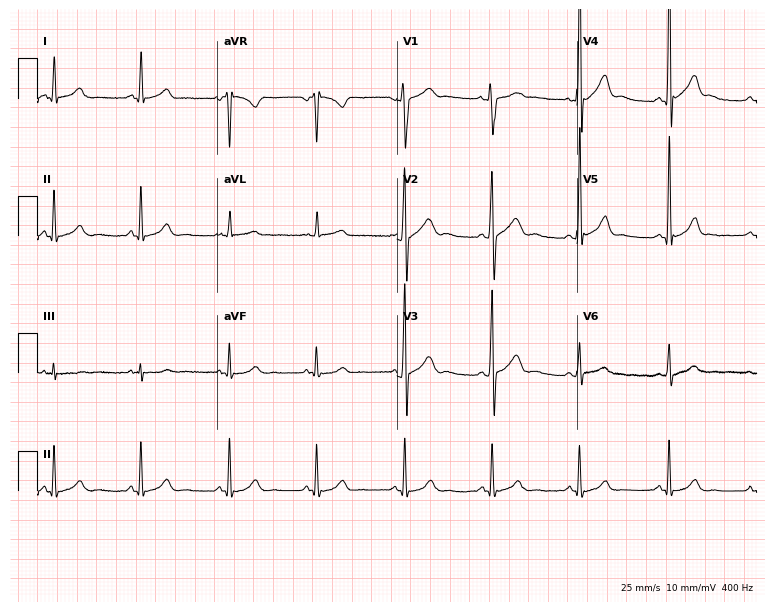
12-lead ECG from a male patient, 19 years old. Labelled as a normal ECG.